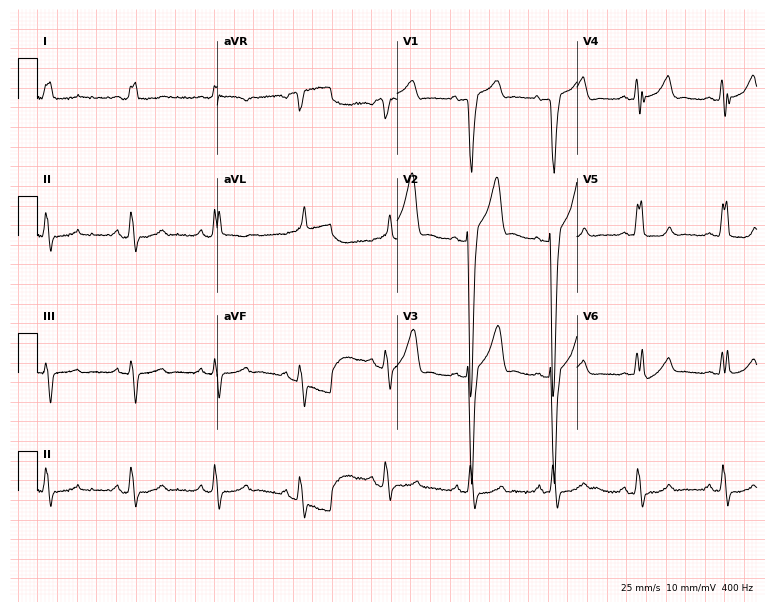
Resting 12-lead electrocardiogram. Patient: a man, 70 years old. None of these six findings is recorded: first-degree AV block, right bundle branch block (RBBB), left bundle branch block (LBBB), sinus bradycardia, atrial fibrillation (AF), sinus tachycardia.